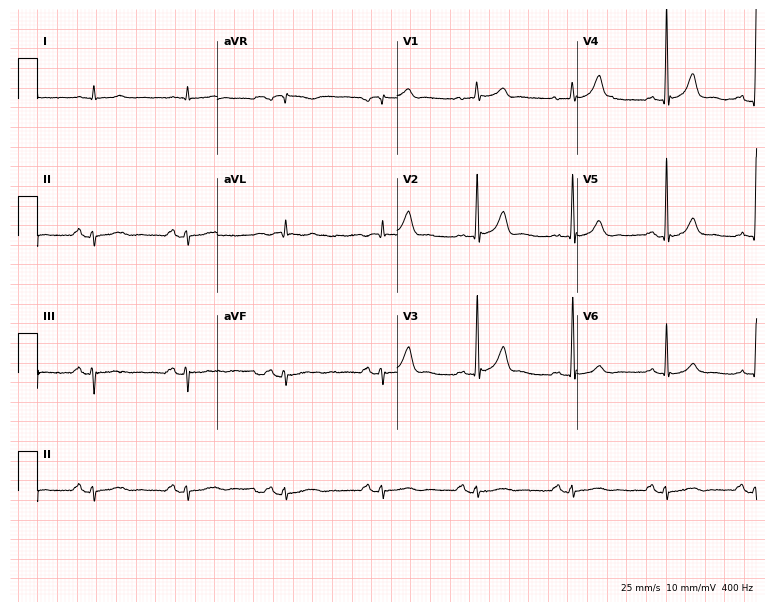
Resting 12-lead electrocardiogram (7.3-second recording at 400 Hz). Patient: a male, 62 years old. Read as a normal ECG.